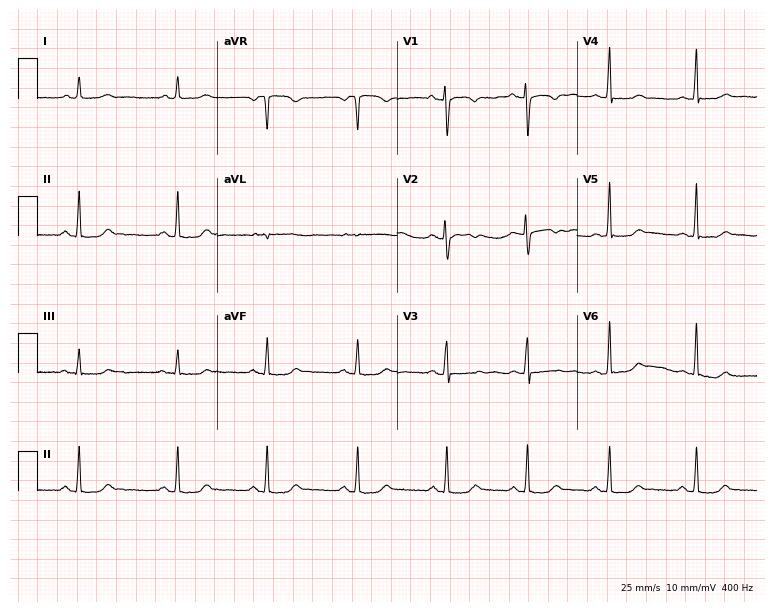
Electrocardiogram, a 35-year-old female patient. Of the six screened findings (first-degree AV block, right bundle branch block, left bundle branch block, sinus bradycardia, atrial fibrillation, sinus tachycardia), none is recorded.